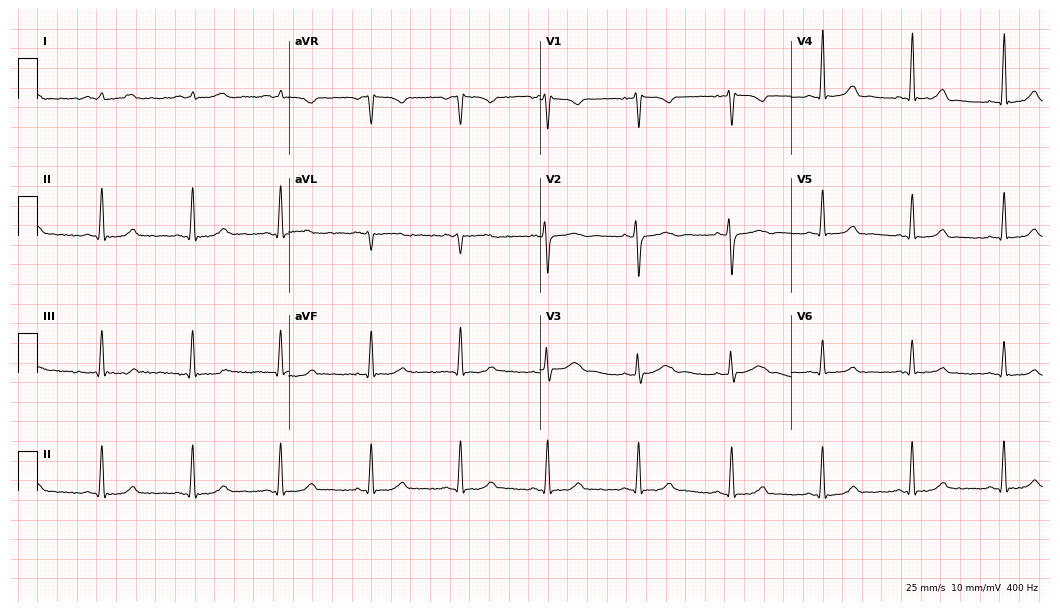
12-lead ECG from a female, 25 years old. Screened for six findings — first-degree AV block, right bundle branch block (RBBB), left bundle branch block (LBBB), sinus bradycardia, atrial fibrillation (AF), sinus tachycardia — none is recorded. Only these six findings were labelled.